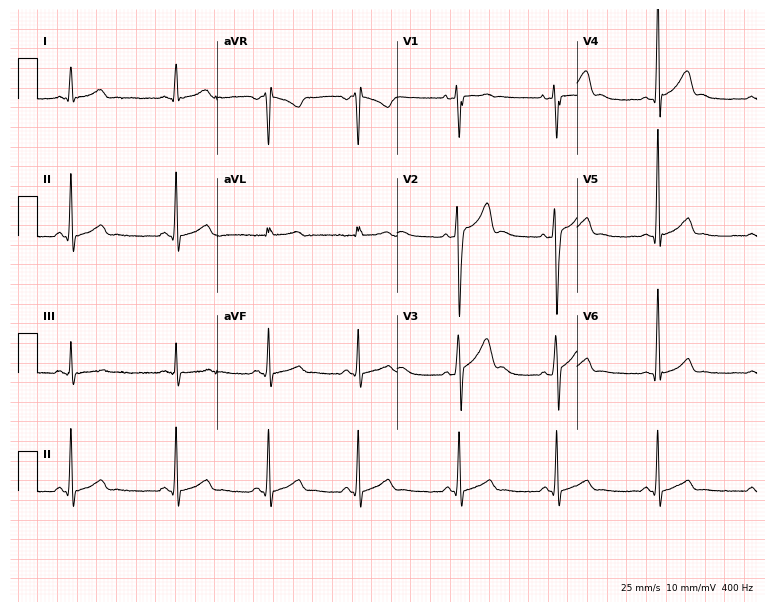
ECG — a man, 18 years old. Labelled as a normal ECG.